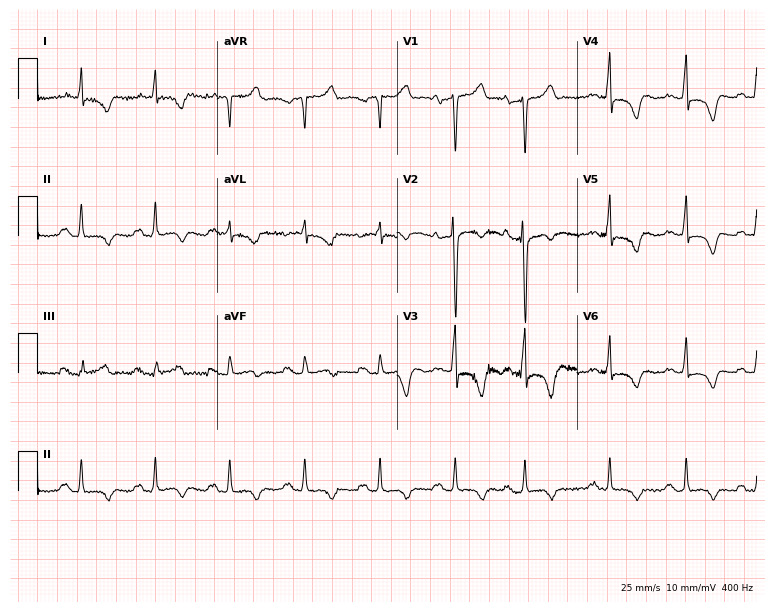
ECG — a 65-year-old man. Screened for six findings — first-degree AV block, right bundle branch block (RBBB), left bundle branch block (LBBB), sinus bradycardia, atrial fibrillation (AF), sinus tachycardia — none is recorded.